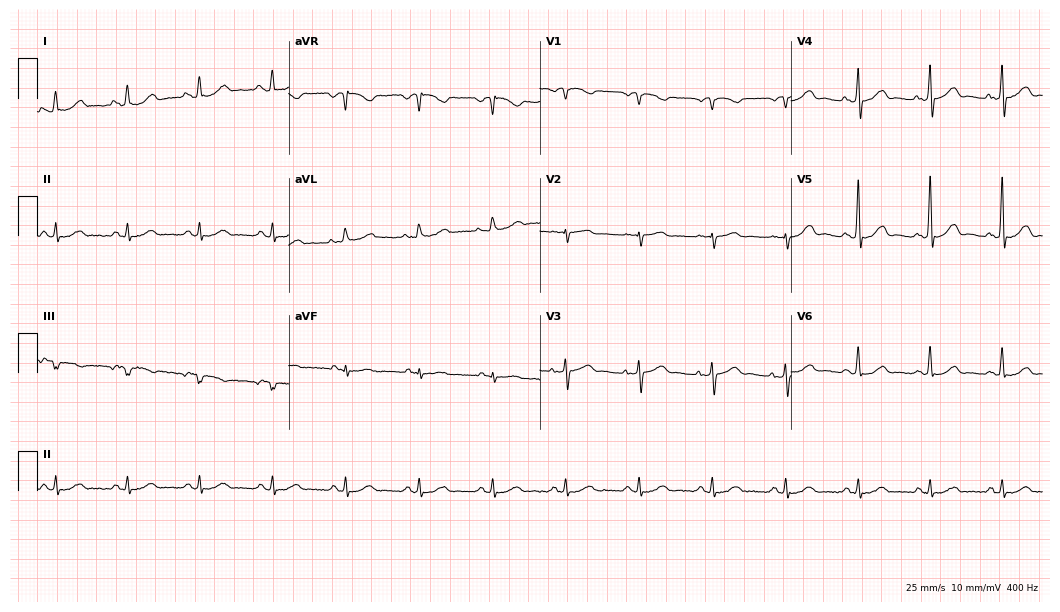
12-lead ECG from a 74-year-old man. Labelled as a normal ECG.